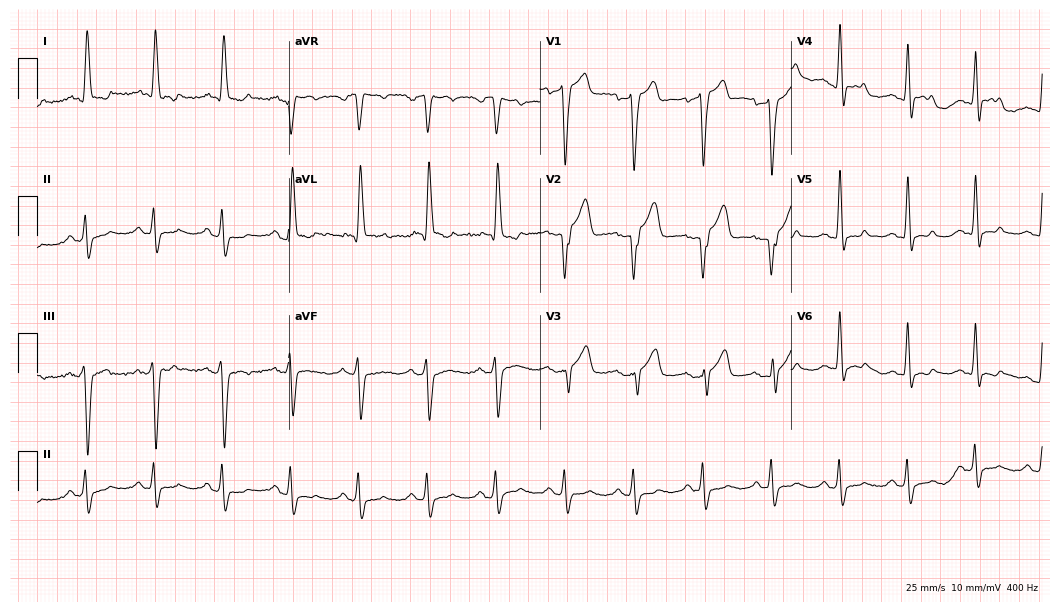
Electrocardiogram, a male patient, 81 years old. Of the six screened findings (first-degree AV block, right bundle branch block, left bundle branch block, sinus bradycardia, atrial fibrillation, sinus tachycardia), none is recorded.